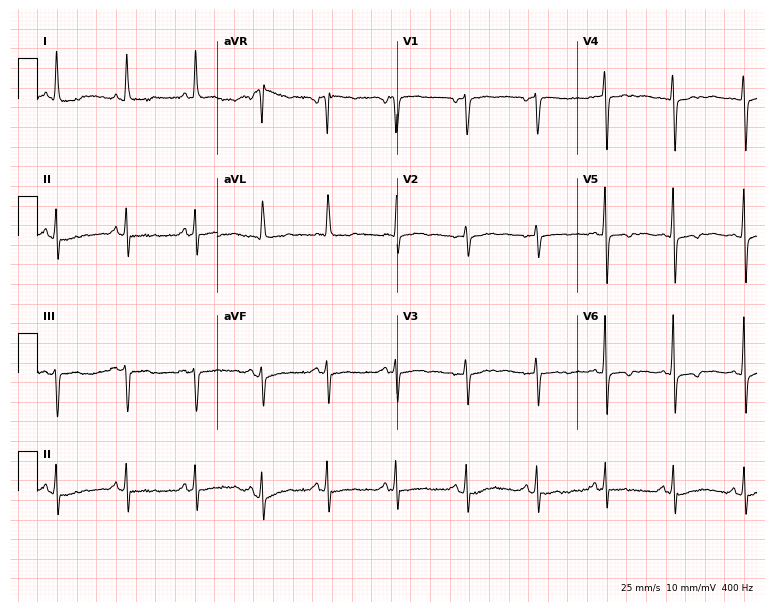
ECG — a female, 72 years old. Screened for six findings — first-degree AV block, right bundle branch block (RBBB), left bundle branch block (LBBB), sinus bradycardia, atrial fibrillation (AF), sinus tachycardia — none is recorded. Other findings, if any, are not listed.